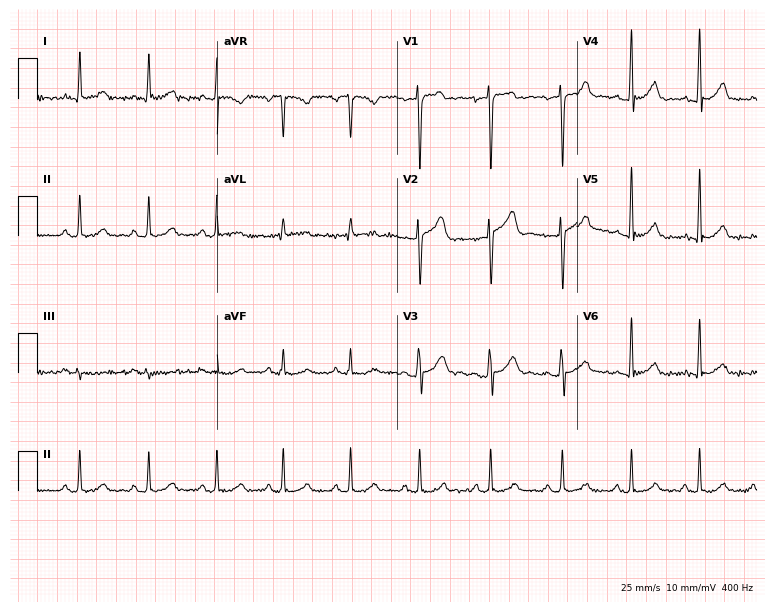
Resting 12-lead electrocardiogram (7.3-second recording at 400 Hz). Patient: a man, 36 years old. Read as a normal ECG.